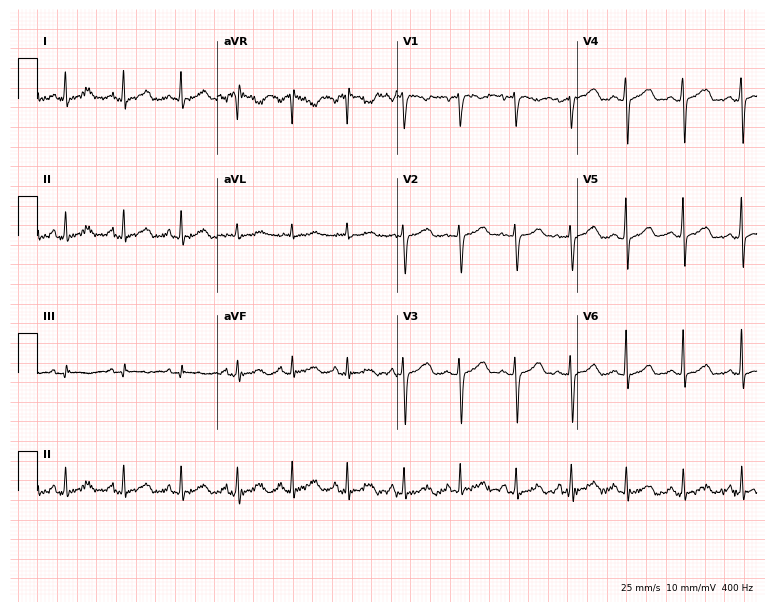
12-lead ECG from a female patient, 29 years old (7.3-second recording at 400 Hz). No first-degree AV block, right bundle branch block (RBBB), left bundle branch block (LBBB), sinus bradycardia, atrial fibrillation (AF) or sinus tachycardia recorded for this tracing.